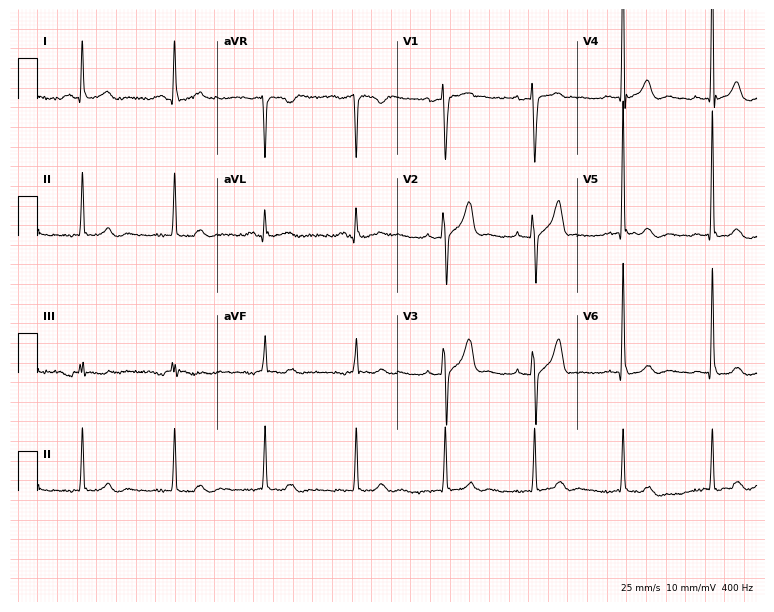
Standard 12-lead ECG recorded from a male, 66 years old. None of these six findings is recorded: first-degree AV block, right bundle branch block (RBBB), left bundle branch block (LBBB), sinus bradycardia, atrial fibrillation (AF), sinus tachycardia.